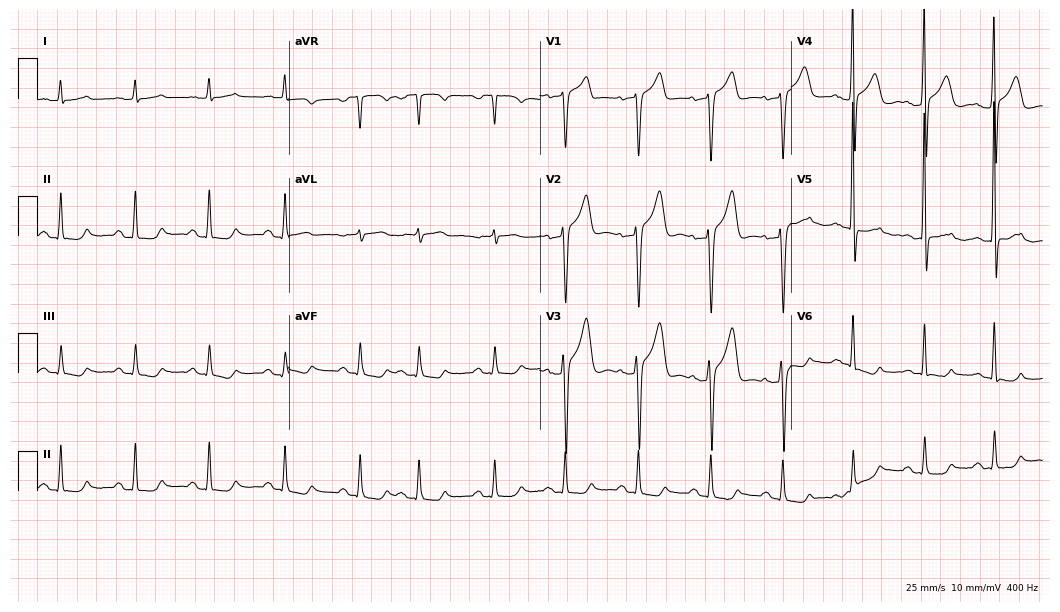
Standard 12-lead ECG recorded from a 79-year-old man (10.2-second recording at 400 Hz). None of these six findings is recorded: first-degree AV block, right bundle branch block, left bundle branch block, sinus bradycardia, atrial fibrillation, sinus tachycardia.